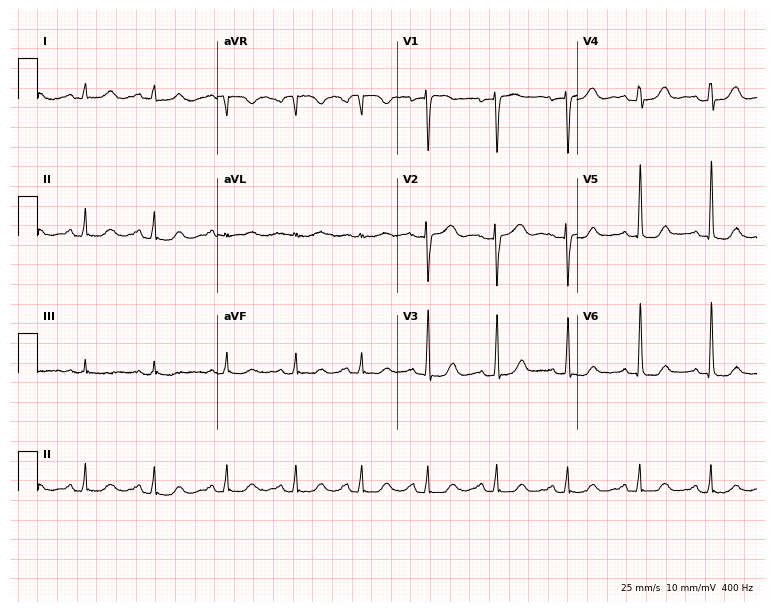
Standard 12-lead ECG recorded from a female patient, 51 years old. None of these six findings is recorded: first-degree AV block, right bundle branch block, left bundle branch block, sinus bradycardia, atrial fibrillation, sinus tachycardia. Only these six findings were labelled.